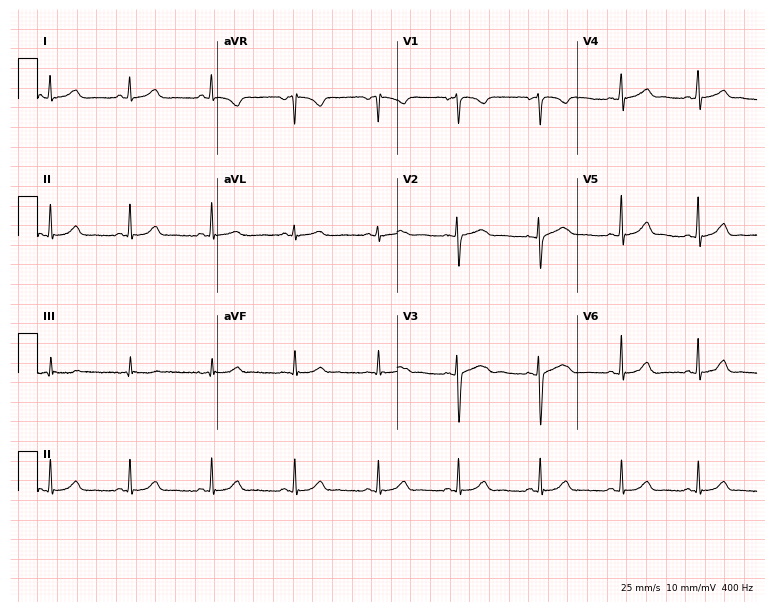
12-lead ECG from a female patient, 26 years old (7.3-second recording at 400 Hz). Recorded interpretation: within normal limits.